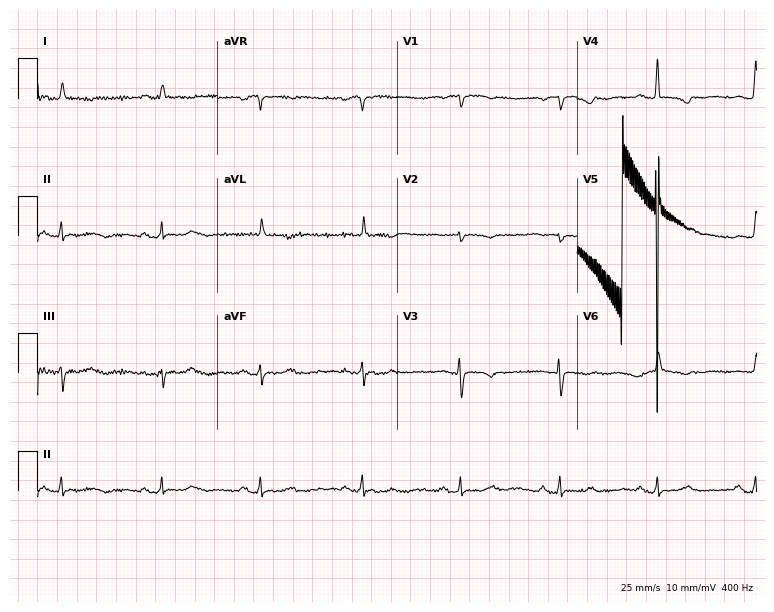
12-lead ECG from a woman, 87 years old. Screened for six findings — first-degree AV block, right bundle branch block, left bundle branch block, sinus bradycardia, atrial fibrillation, sinus tachycardia — none is recorded.